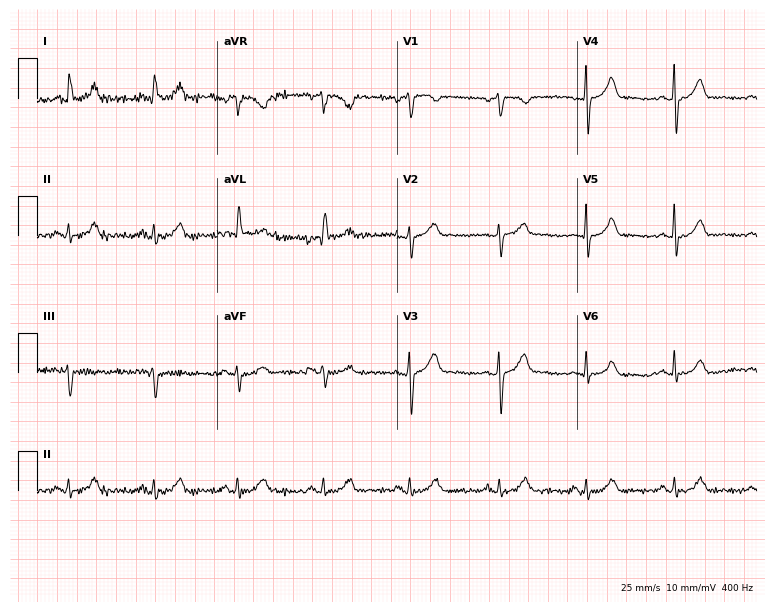
ECG — a 63-year-old female patient. Screened for six findings — first-degree AV block, right bundle branch block (RBBB), left bundle branch block (LBBB), sinus bradycardia, atrial fibrillation (AF), sinus tachycardia — none is recorded. Other findings, if any, are not listed.